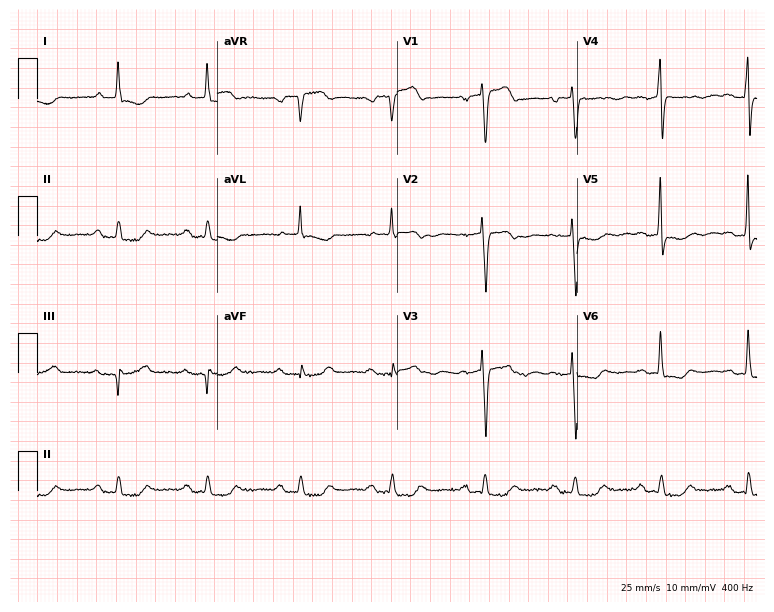
Standard 12-lead ECG recorded from a female patient, 72 years old (7.3-second recording at 400 Hz). None of these six findings is recorded: first-degree AV block, right bundle branch block, left bundle branch block, sinus bradycardia, atrial fibrillation, sinus tachycardia.